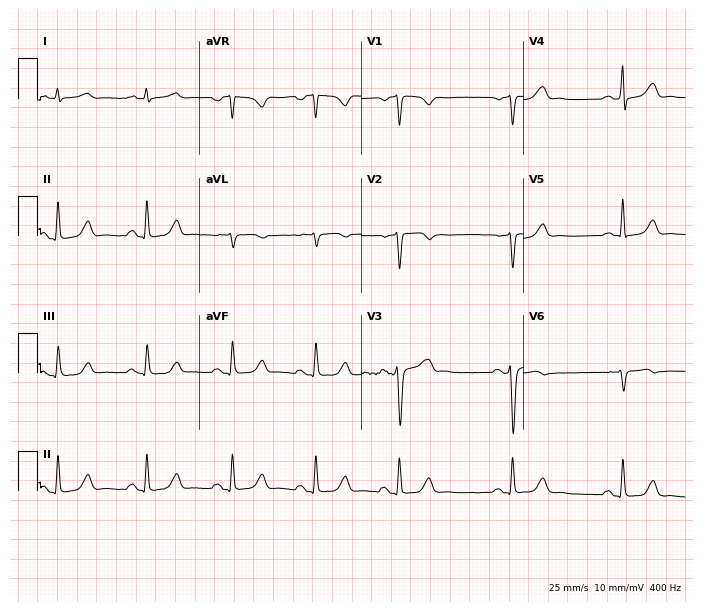
12-lead ECG (6.6-second recording at 400 Hz) from a 49-year-old male. Labelled as a normal ECG.